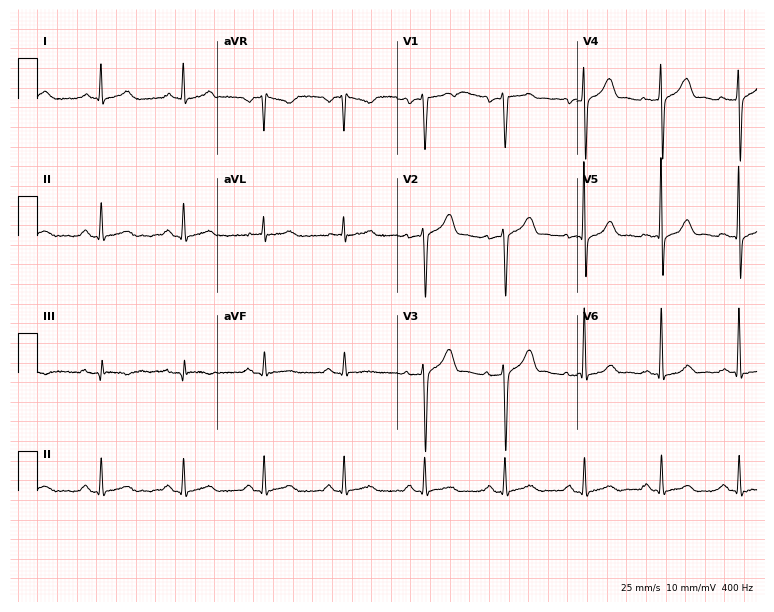
12-lead ECG from a male patient, 39 years old (7.3-second recording at 400 Hz). No first-degree AV block, right bundle branch block (RBBB), left bundle branch block (LBBB), sinus bradycardia, atrial fibrillation (AF) or sinus tachycardia recorded for this tracing.